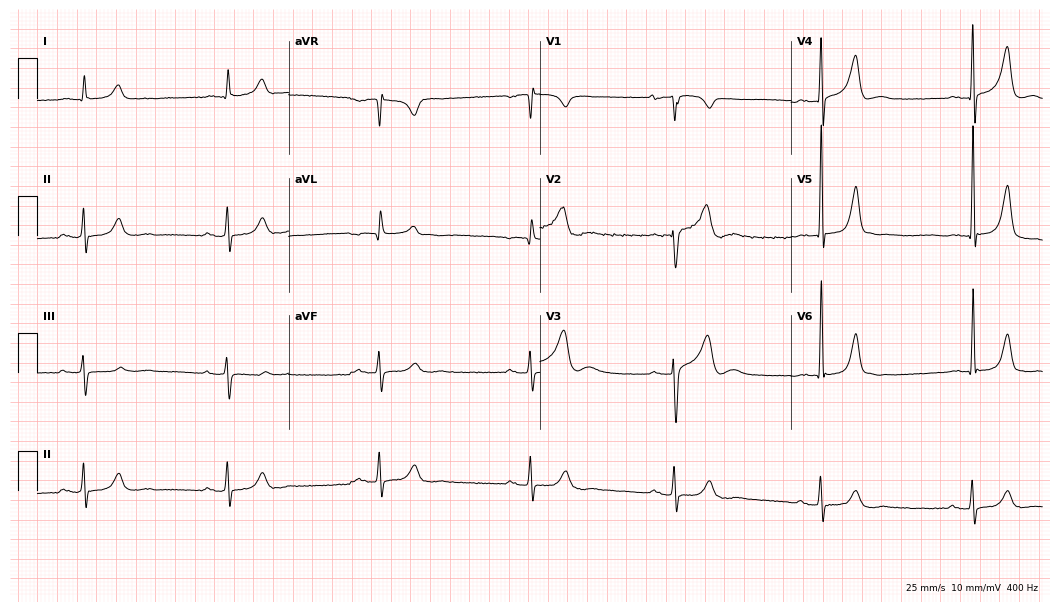
Resting 12-lead electrocardiogram (10.2-second recording at 400 Hz). Patient: a 77-year-old male. The tracing shows sinus bradycardia (a sinus rate of 50 beats per minute or less).